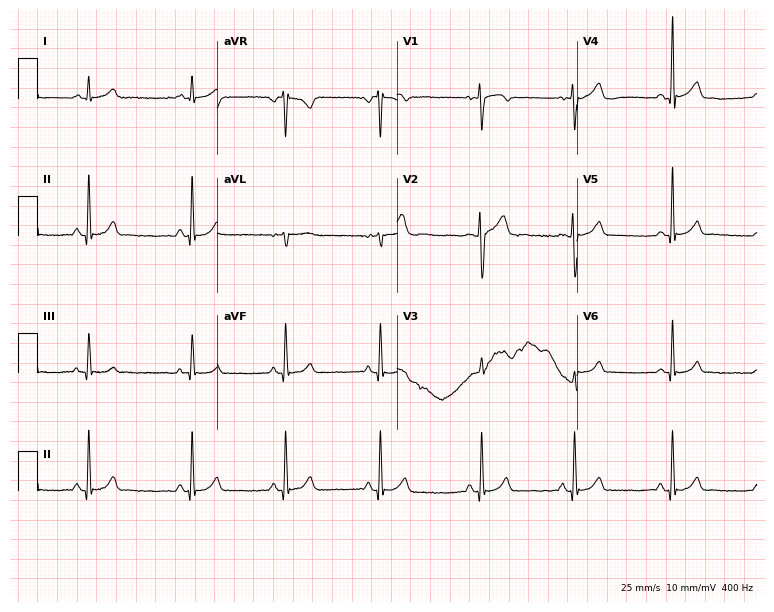
Resting 12-lead electrocardiogram. Patient: a 21-year-old male. Read as a normal ECG.